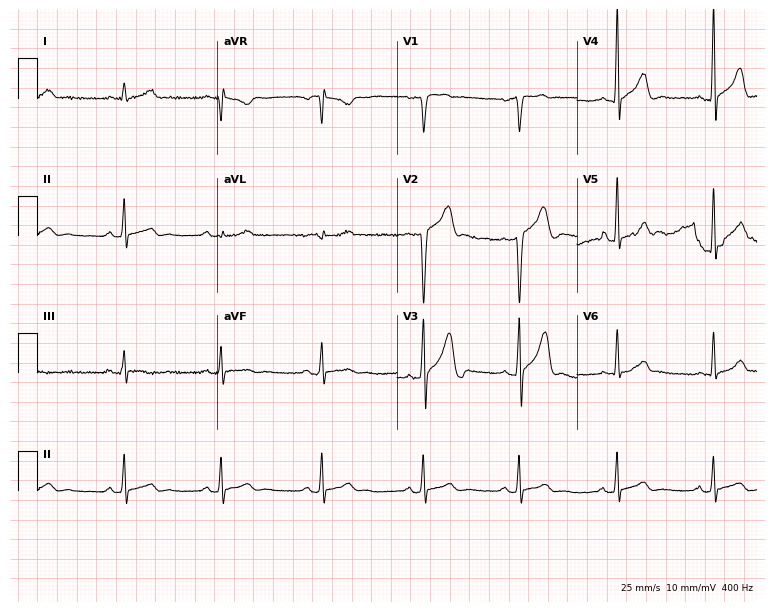
ECG — a 26-year-old man. Labelled as a normal ECG.